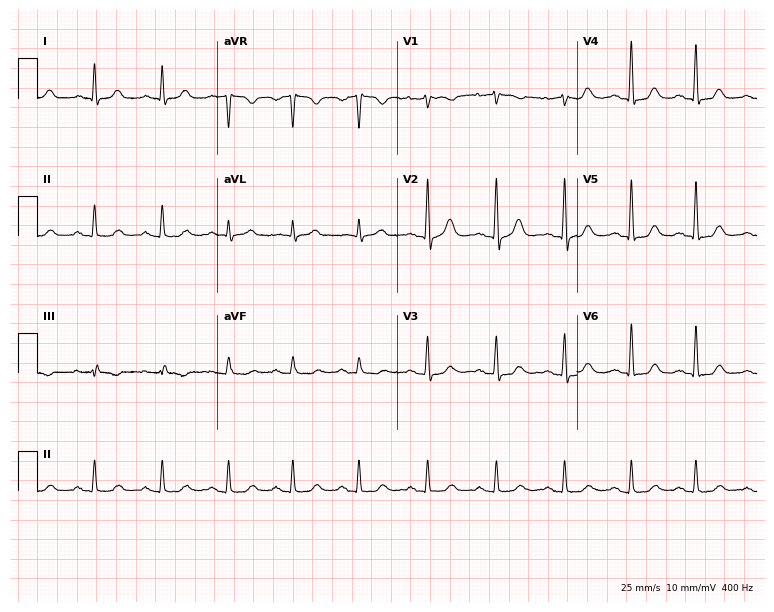
Resting 12-lead electrocardiogram. Patient: a 52-year-old male. None of these six findings is recorded: first-degree AV block, right bundle branch block (RBBB), left bundle branch block (LBBB), sinus bradycardia, atrial fibrillation (AF), sinus tachycardia. Other findings, if any, are not listed.